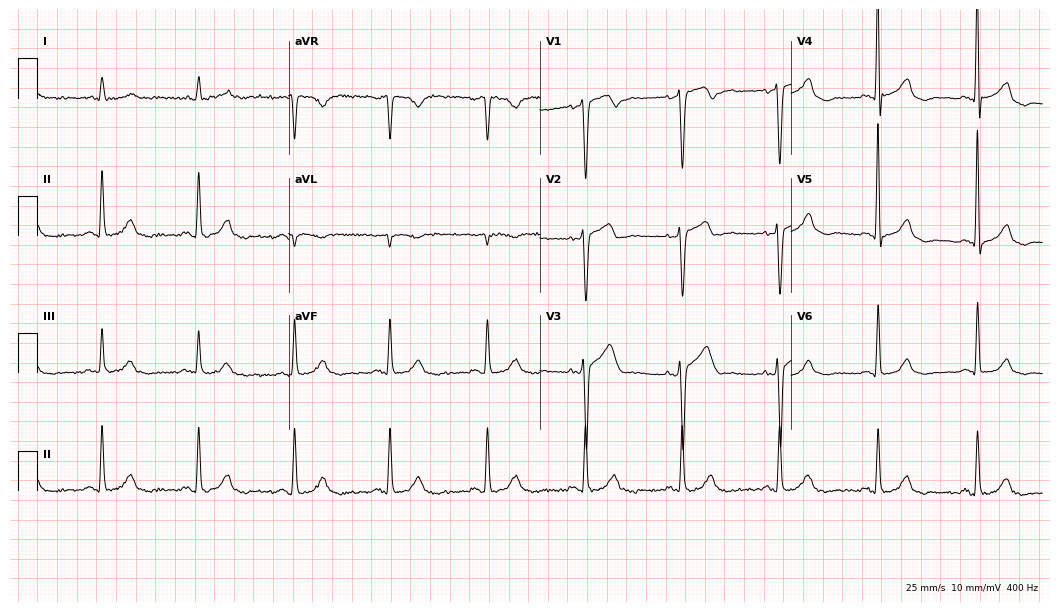
12-lead ECG from a man, 71 years old. Labelled as a normal ECG.